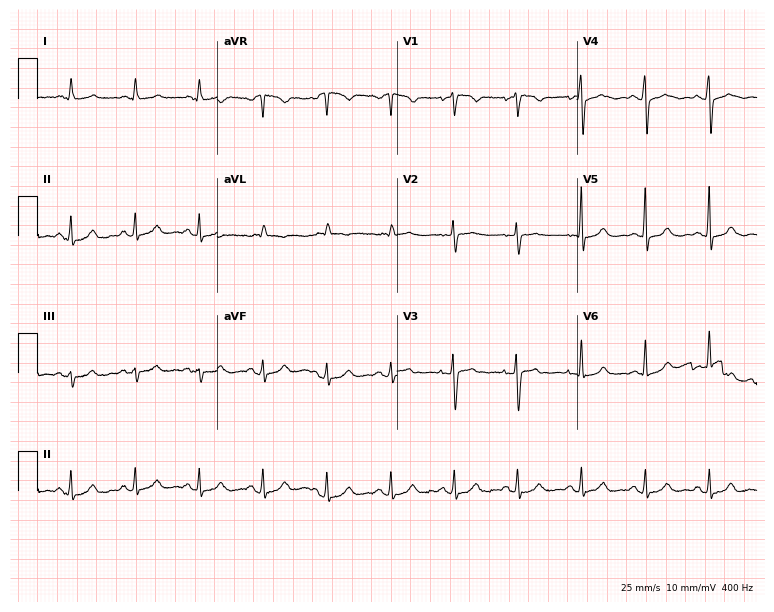
12-lead ECG from a 79-year-old female. Recorded interpretation: within normal limits.